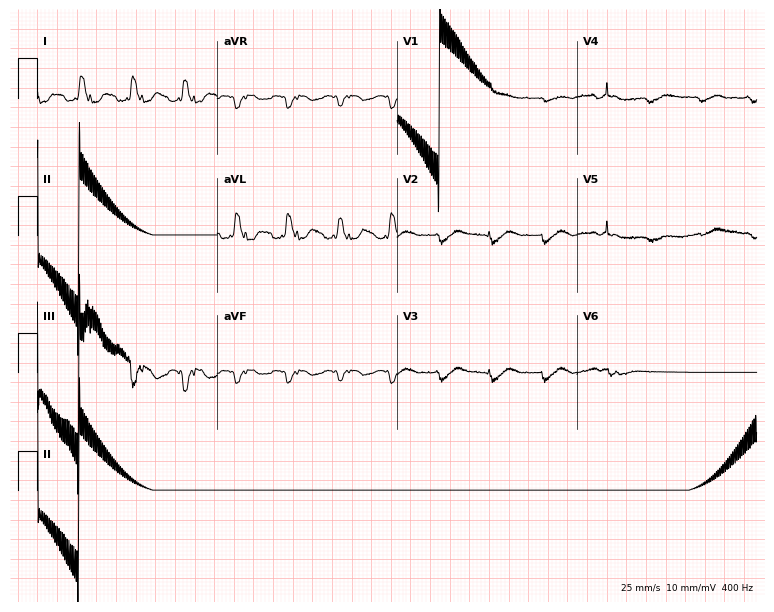
12-lead ECG (7.3-second recording at 400 Hz) from a woman, 62 years old. Screened for six findings — first-degree AV block, right bundle branch block, left bundle branch block, sinus bradycardia, atrial fibrillation, sinus tachycardia — none is recorded. Only these six findings were labelled.